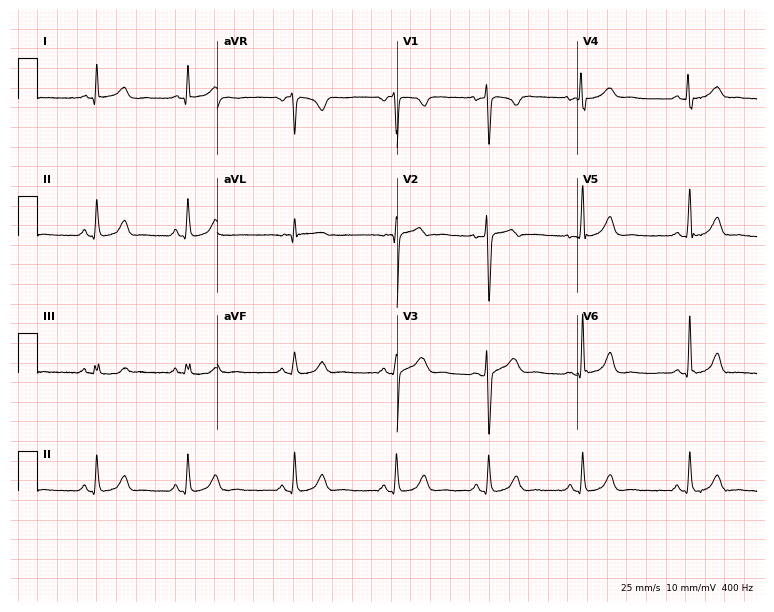
12-lead ECG from a female patient, 18 years old (7.3-second recording at 400 Hz). No first-degree AV block, right bundle branch block, left bundle branch block, sinus bradycardia, atrial fibrillation or sinus tachycardia recorded for this tracing.